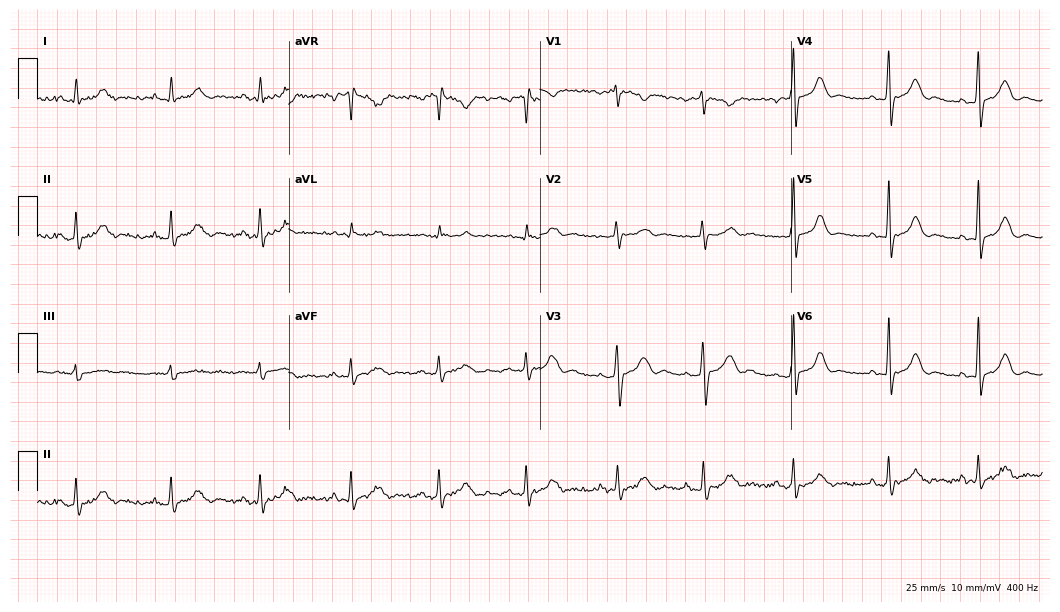
12-lead ECG from a 29-year-old woman (10.2-second recording at 400 Hz). Recorded interpretation: within normal limits.